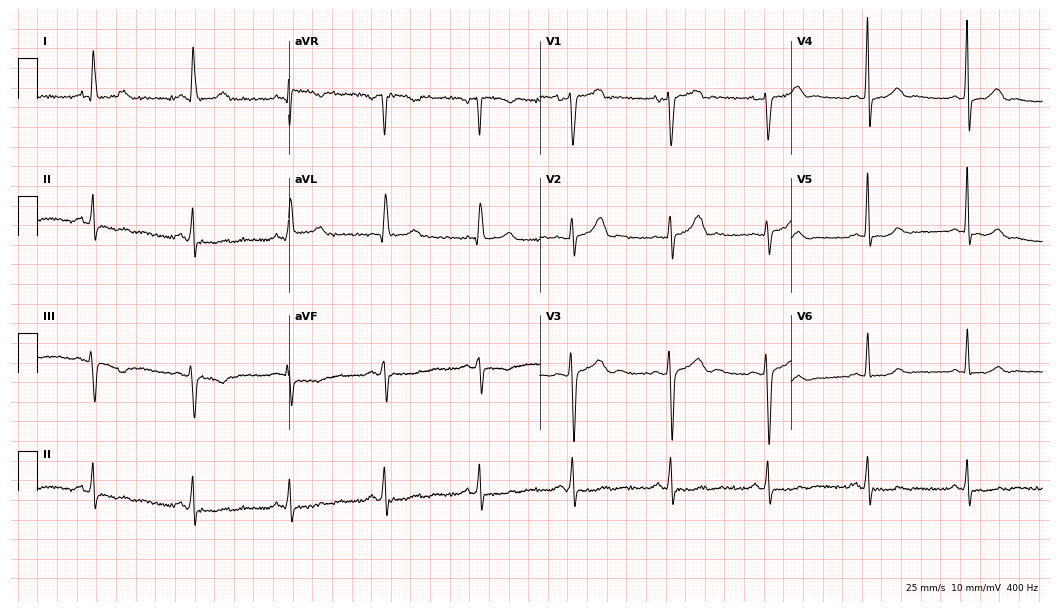
ECG — a man, 49 years old. Screened for six findings — first-degree AV block, right bundle branch block, left bundle branch block, sinus bradycardia, atrial fibrillation, sinus tachycardia — none is recorded. Only these six findings were labelled.